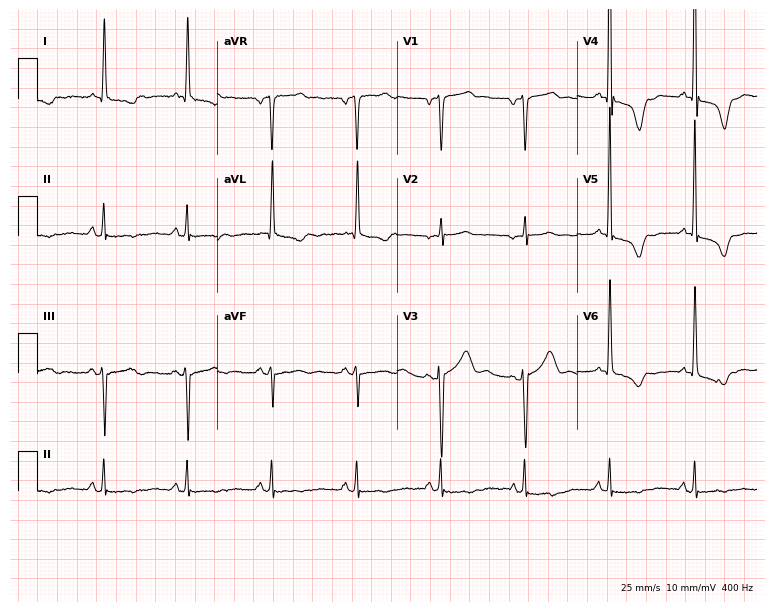
12-lead ECG from an 80-year-old female patient. No first-degree AV block, right bundle branch block, left bundle branch block, sinus bradycardia, atrial fibrillation or sinus tachycardia recorded for this tracing. Only these six findings were labelled.